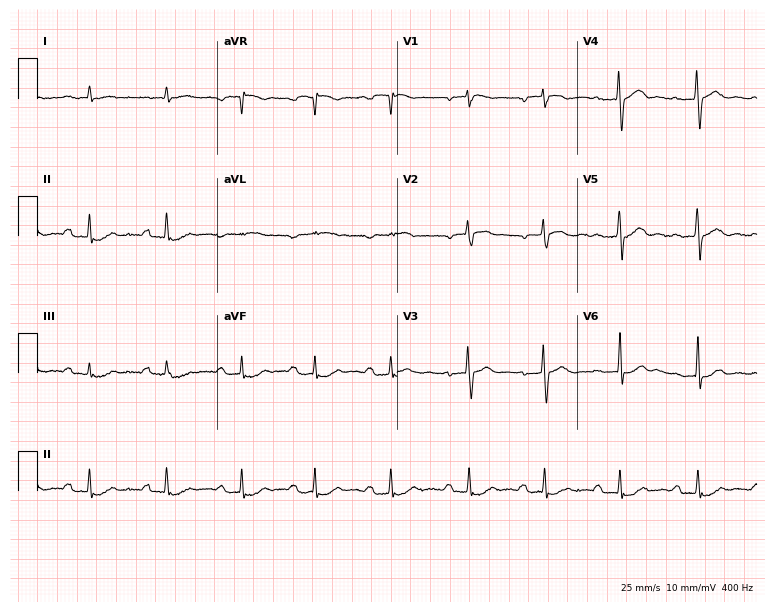
12-lead ECG from a male, 84 years old (7.3-second recording at 400 Hz). Shows first-degree AV block.